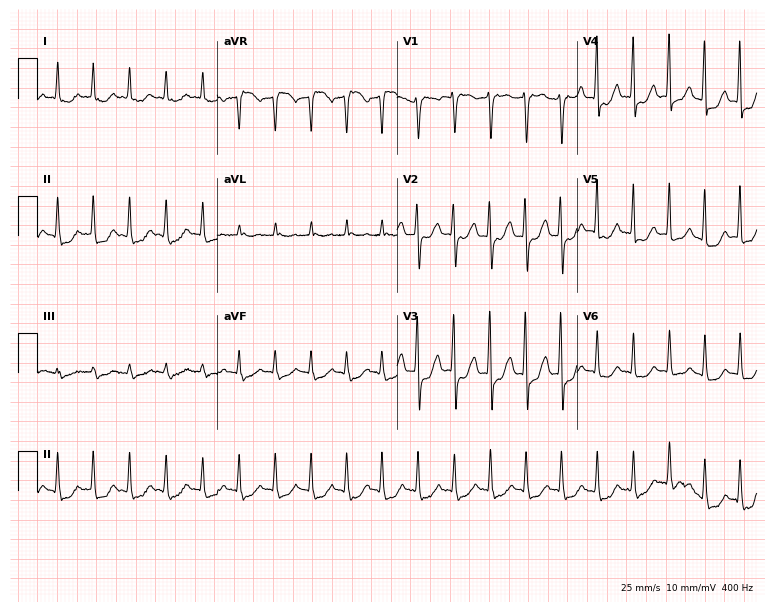
12-lead ECG from a 48-year-old female patient (7.3-second recording at 400 Hz). Shows sinus tachycardia (a sinus rate of 100 beats per minute or more).